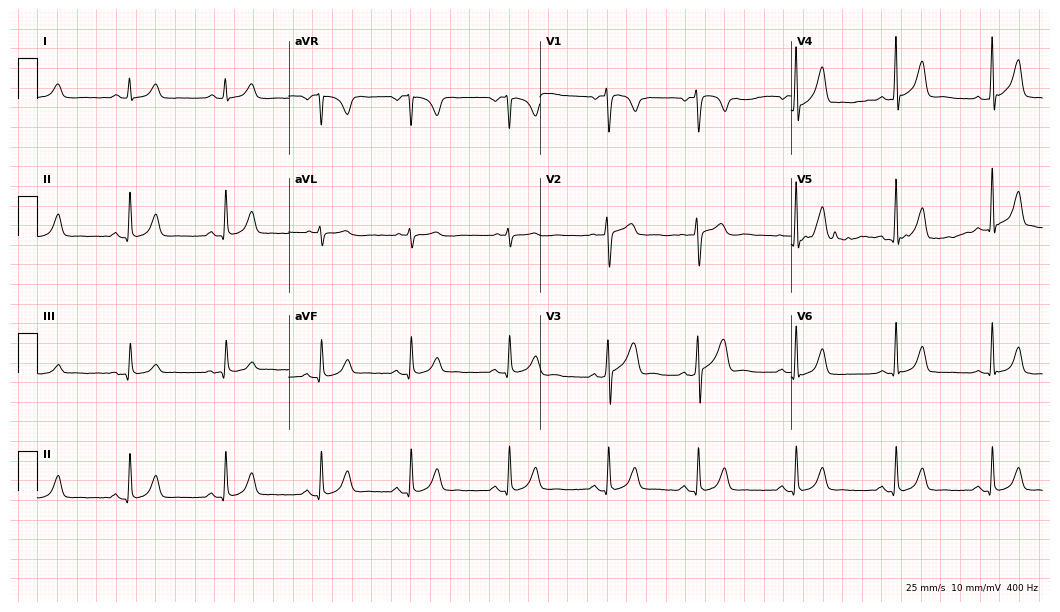
12-lead ECG from a 28-year-old male patient (10.2-second recording at 400 Hz). Recorded interpretation: within normal limits.